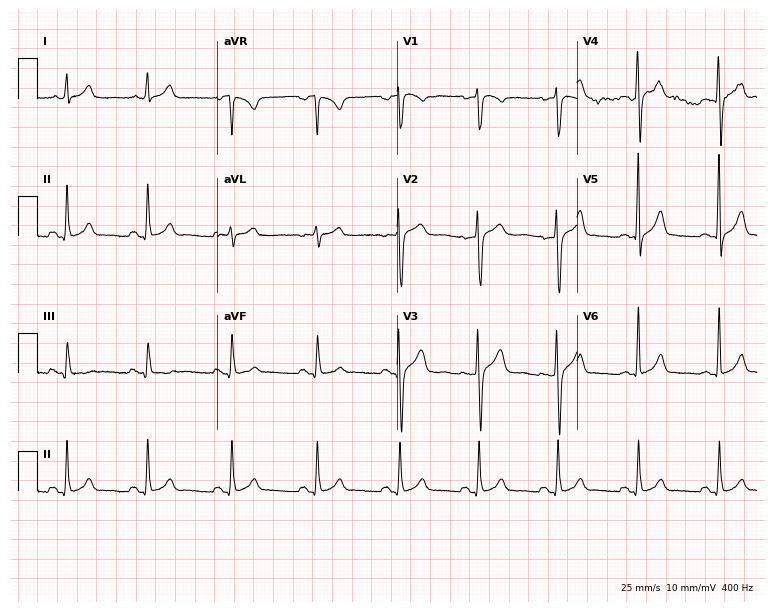
Standard 12-lead ECG recorded from a 40-year-old woman. Read as a normal ECG.